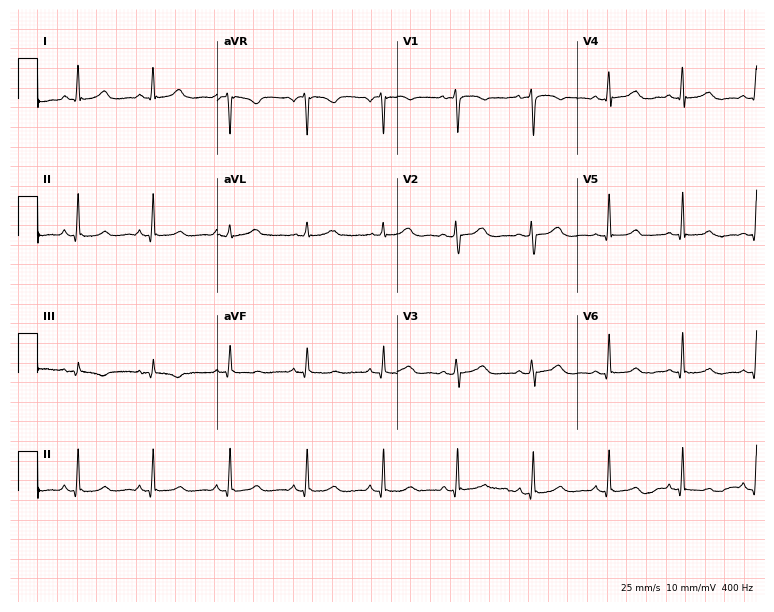
Standard 12-lead ECG recorded from a woman, 51 years old (7.3-second recording at 400 Hz). None of these six findings is recorded: first-degree AV block, right bundle branch block (RBBB), left bundle branch block (LBBB), sinus bradycardia, atrial fibrillation (AF), sinus tachycardia. Other findings, if any, are not listed.